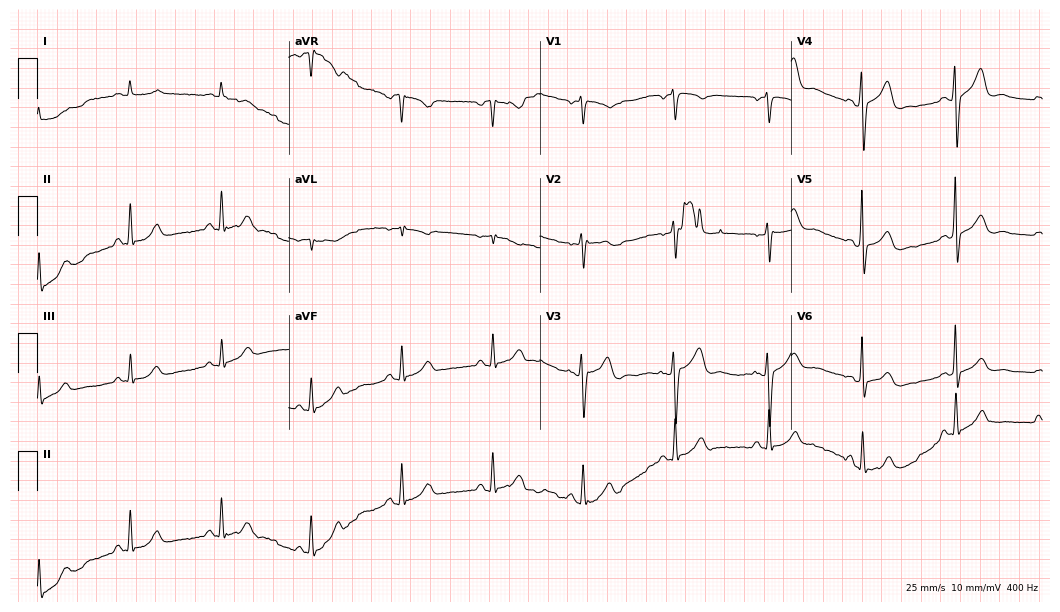
12-lead ECG from a male, 70 years old. Labelled as a normal ECG.